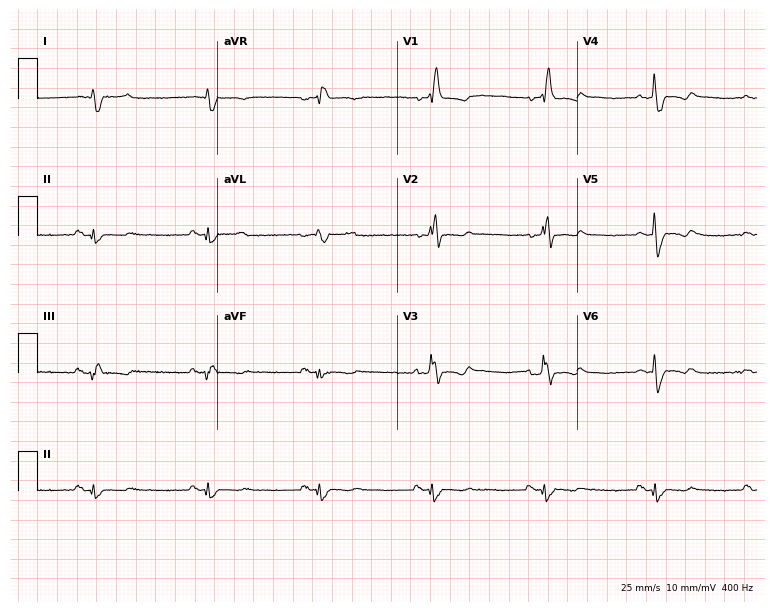
12-lead ECG from a 71-year-old man. No first-degree AV block, right bundle branch block, left bundle branch block, sinus bradycardia, atrial fibrillation or sinus tachycardia recorded for this tracing.